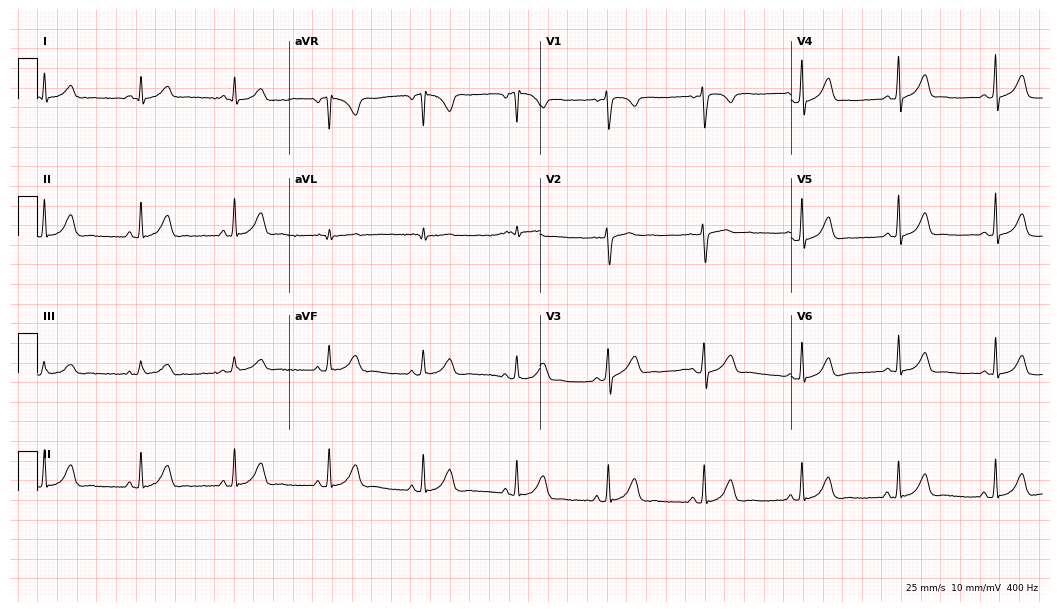
Electrocardiogram, a 38-year-old female. Overall reading on record: normal ECG.